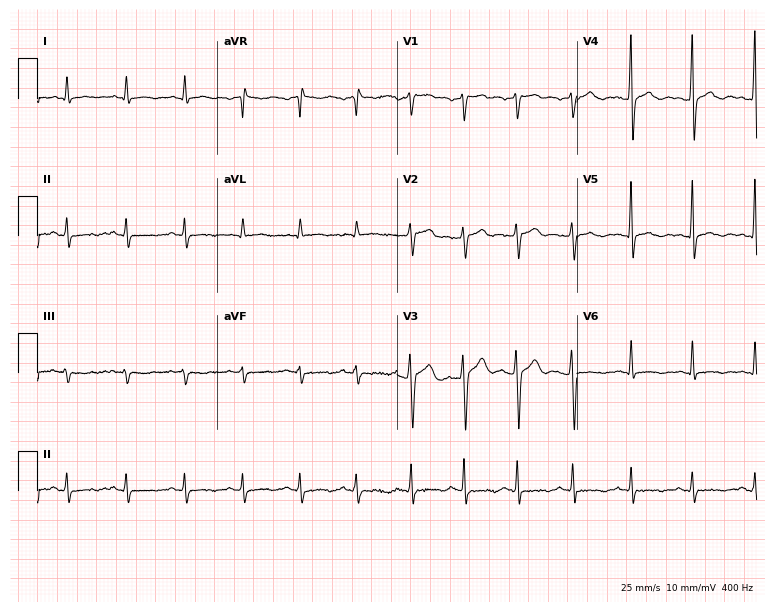
Electrocardiogram (7.3-second recording at 400 Hz), a 46-year-old male patient. Interpretation includes sinus tachycardia (a sinus rate of 100 beats per minute or more).